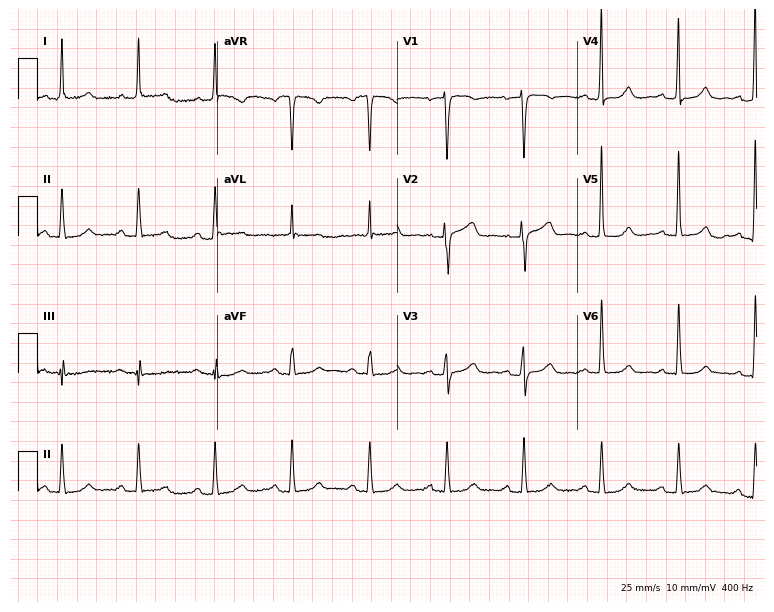
12-lead ECG from a 68-year-old woman. No first-degree AV block, right bundle branch block, left bundle branch block, sinus bradycardia, atrial fibrillation or sinus tachycardia recorded for this tracing. Only these six findings were labelled.